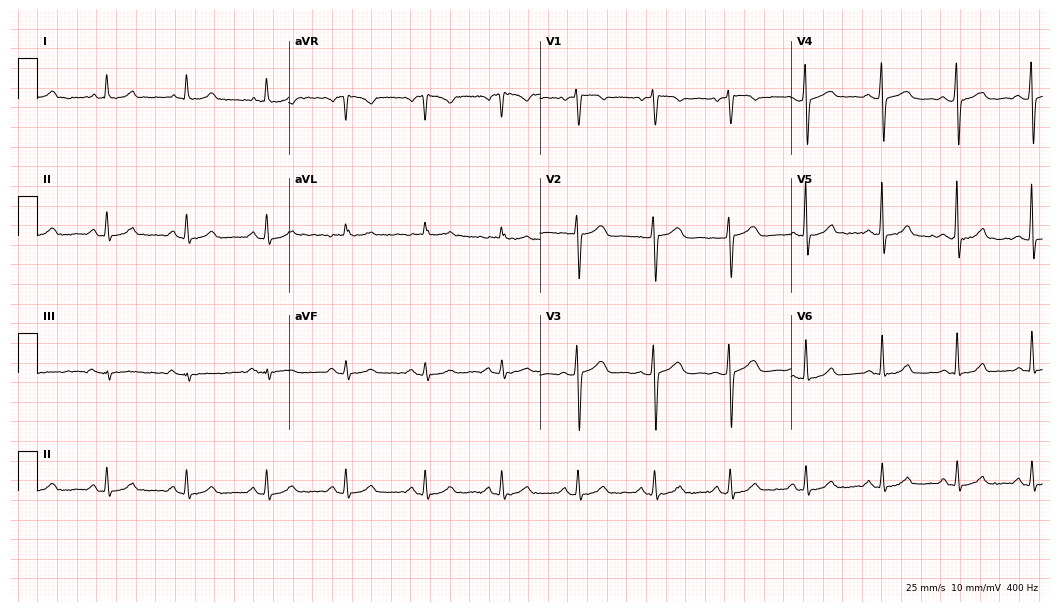
12-lead ECG from a female patient, 72 years old. No first-degree AV block, right bundle branch block (RBBB), left bundle branch block (LBBB), sinus bradycardia, atrial fibrillation (AF) or sinus tachycardia recorded for this tracing. Findings outside these six are not listed.